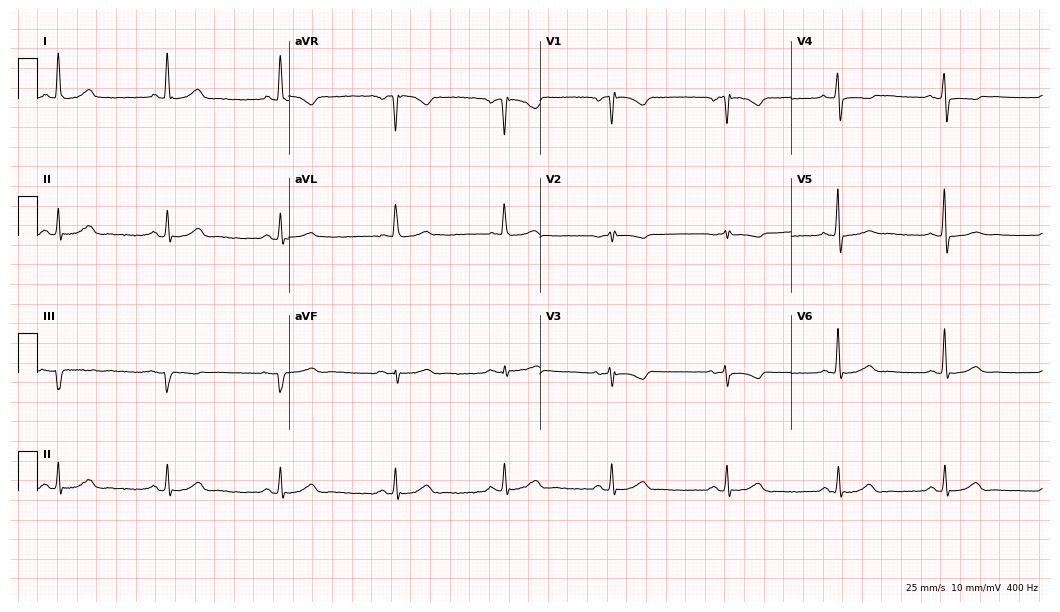
Standard 12-lead ECG recorded from a female, 56 years old (10.2-second recording at 400 Hz). None of these six findings is recorded: first-degree AV block, right bundle branch block, left bundle branch block, sinus bradycardia, atrial fibrillation, sinus tachycardia.